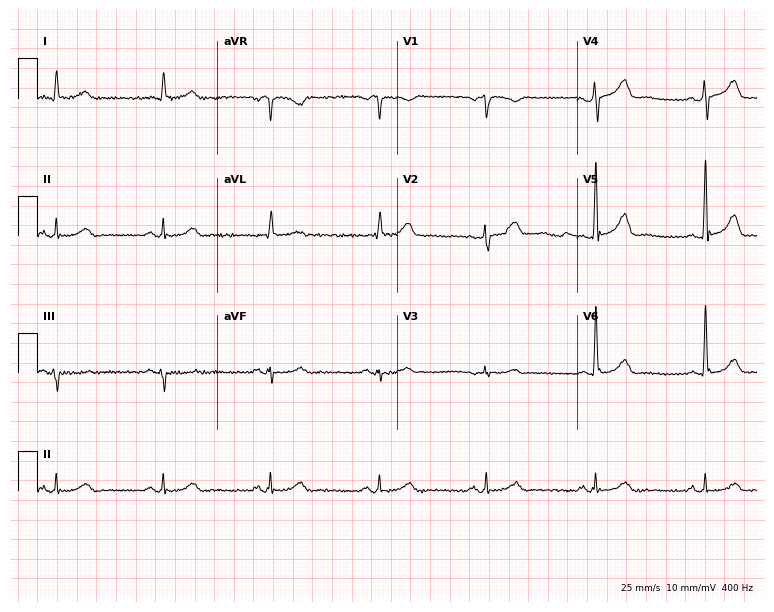
ECG (7.3-second recording at 400 Hz) — a 73-year-old man. Screened for six findings — first-degree AV block, right bundle branch block, left bundle branch block, sinus bradycardia, atrial fibrillation, sinus tachycardia — none is recorded. Only these six findings were labelled.